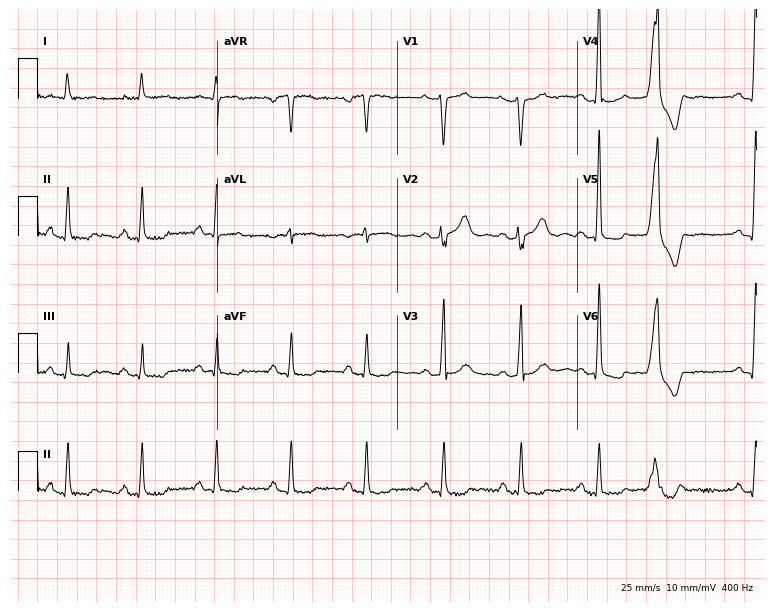
Electrocardiogram (7.3-second recording at 400 Hz), a 69-year-old male patient. Of the six screened findings (first-degree AV block, right bundle branch block, left bundle branch block, sinus bradycardia, atrial fibrillation, sinus tachycardia), none is recorded. Other findings, if any, are not listed.